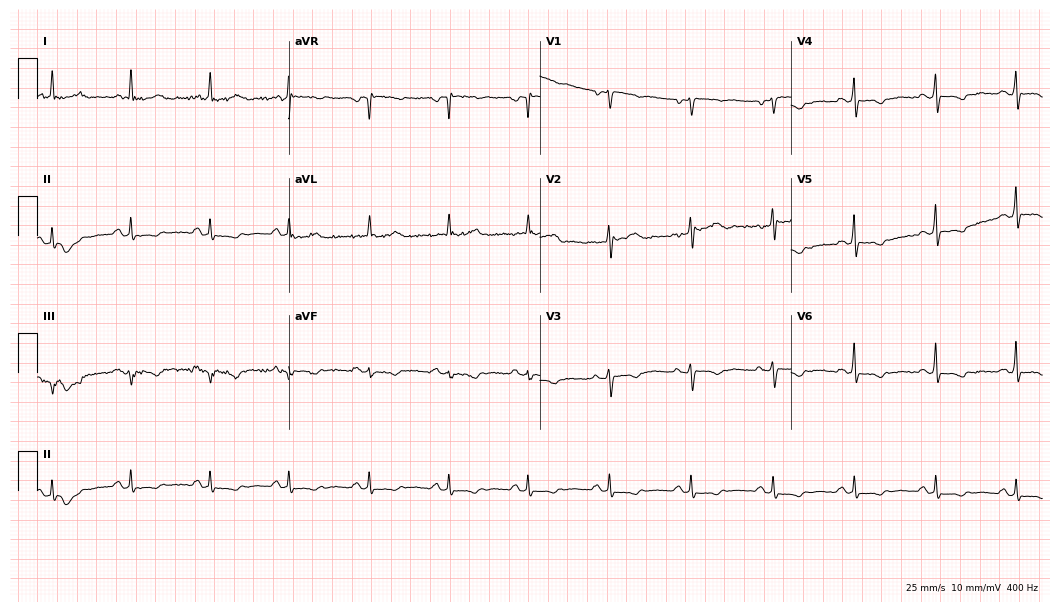
12-lead ECG from a 42-year-old female patient. No first-degree AV block, right bundle branch block (RBBB), left bundle branch block (LBBB), sinus bradycardia, atrial fibrillation (AF) or sinus tachycardia recorded for this tracing. Other findings, if any, are not listed.